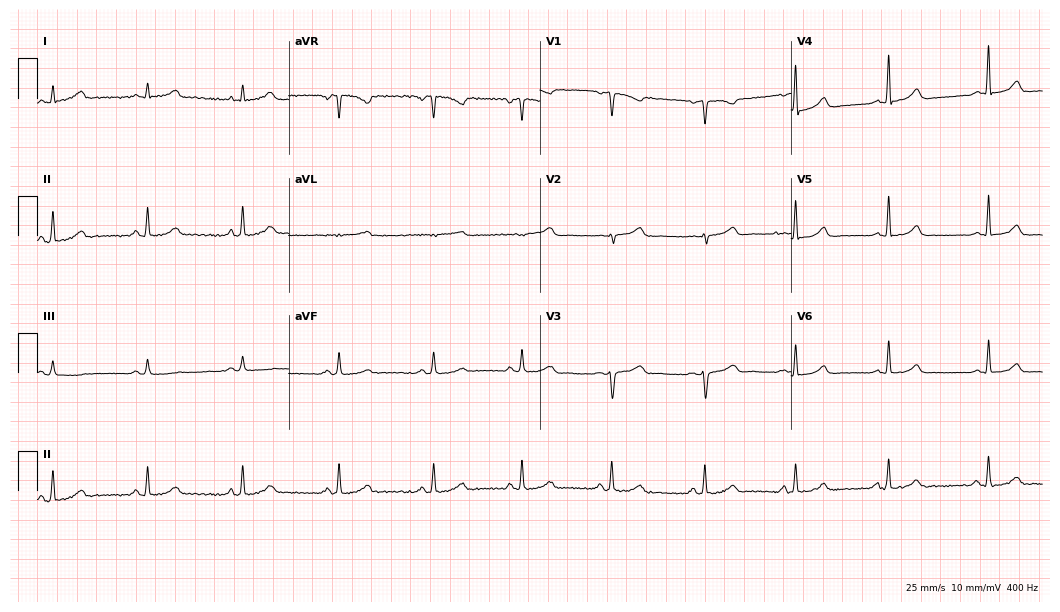
Electrocardiogram, a female, 38 years old. Overall reading on record: normal ECG.